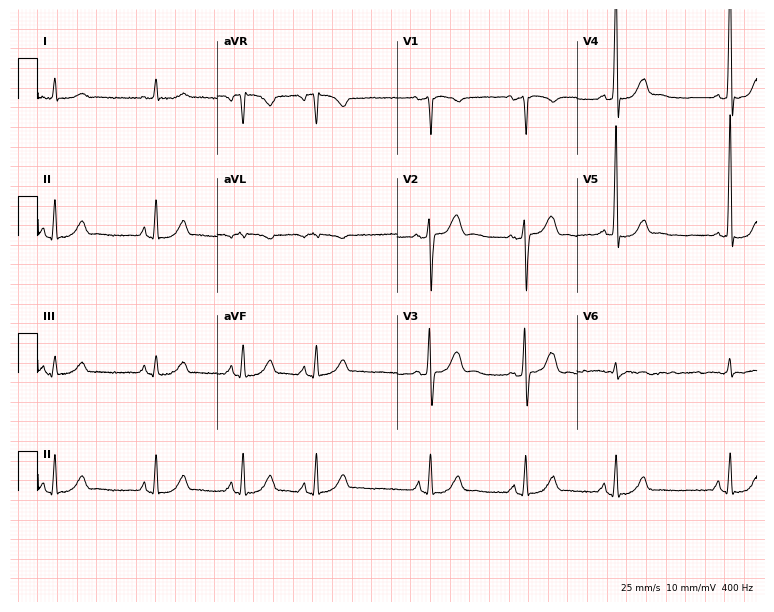
Standard 12-lead ECG recorded from a male, 82 years old. None of these six findings is recorded: first-degree AV block, right bundle branch block, left bundle branch block, sinus bradycardia, atrial fibrillation, sinus tachycardia.